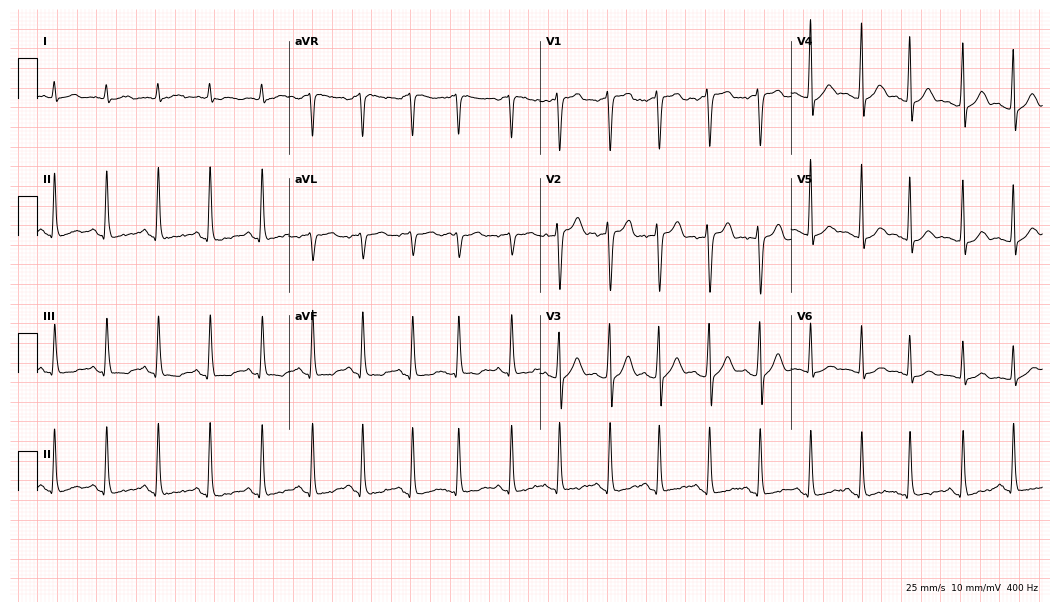
Electrocardiogram (10.2-second recording at 400 Hz), a 21-year-old male. Interpretation includes sinus tachycardia (a sinus rate of 100 beats per minute or more).